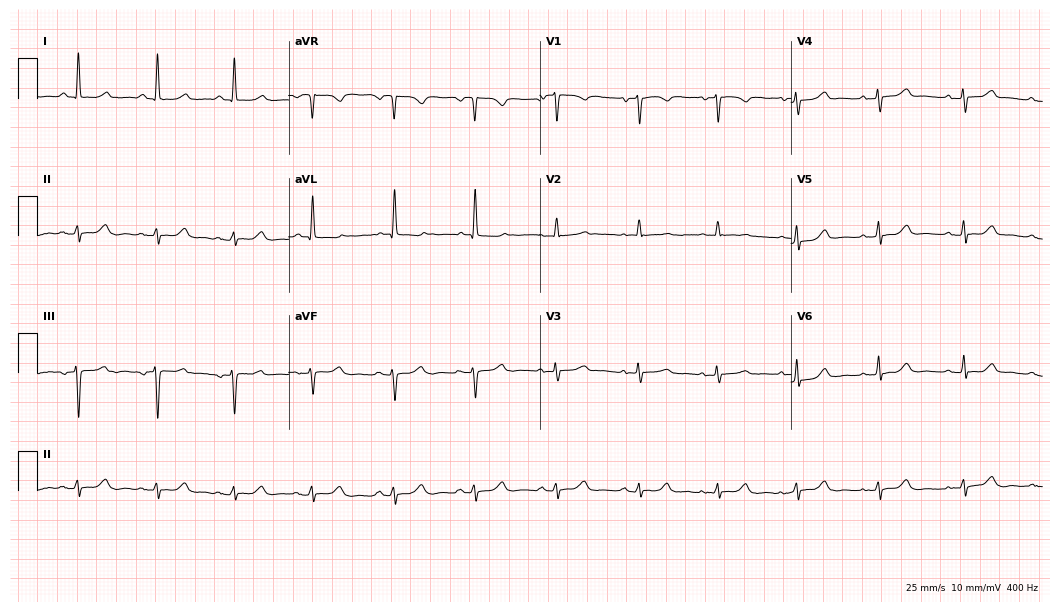
Electrocardiogram (10.2-second recording at 400 Hz), a 73-year-old female patient. Overall reading on record: normal ECG.